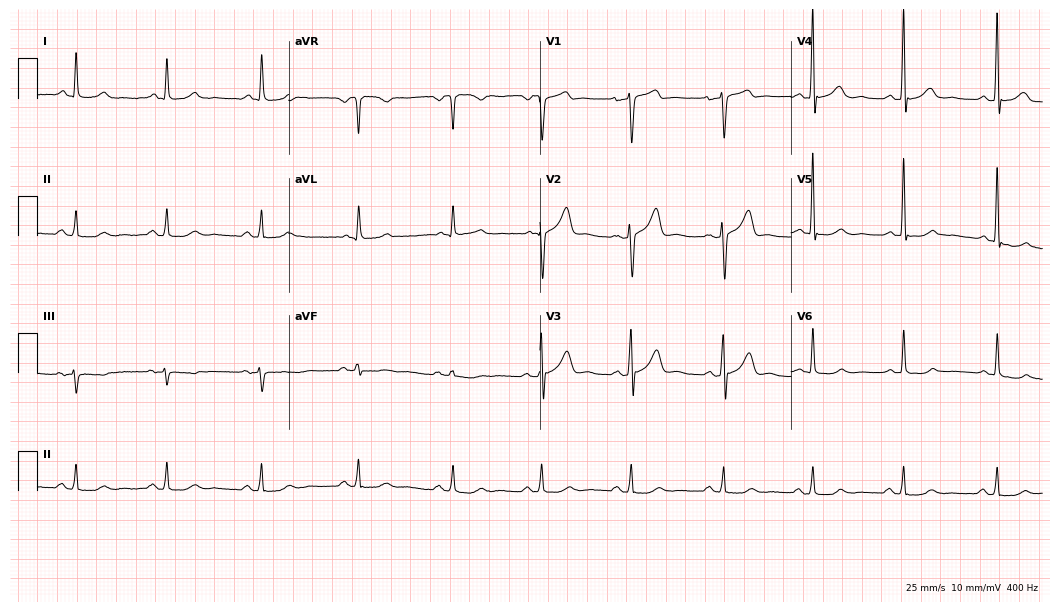
ECG — a male patient, 56 years old. Screened for six findings — first-degree AV block, right bundle branch block, left bundle branch block, sinus bradycardia, atrial fibrillation, sinus tachycardia — none is recorded.